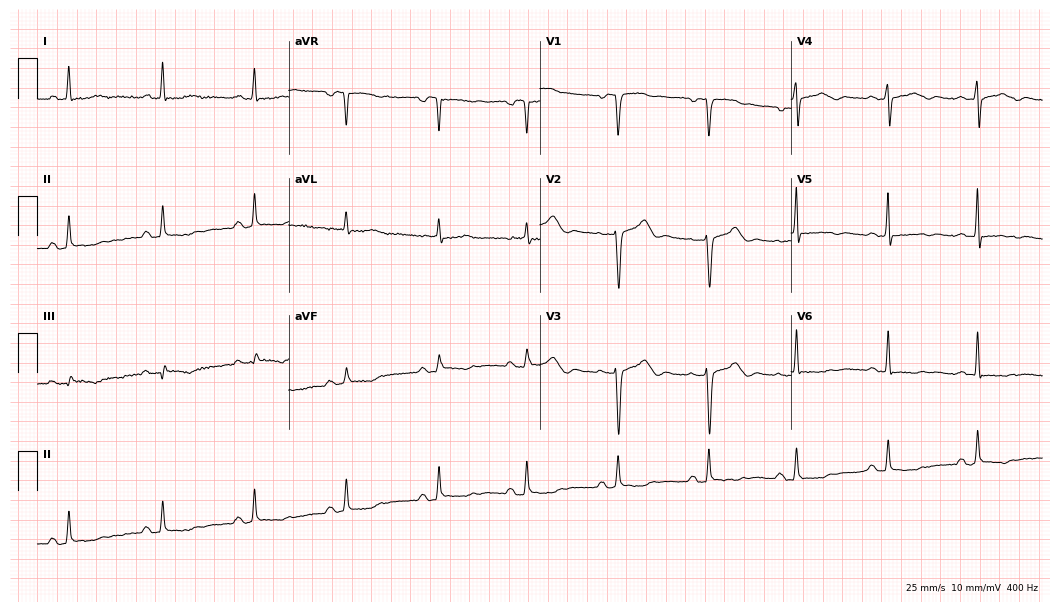
Standard 12-lead ECG recorded from a woman, 48 years old (10.2-second recording at 400 Hz). None of these six findings is recorded: first-degree AV block, right bundle branch block, left bundle branch block, sinus bradycardia, atrial fibrillation, sinus tachycardia. Findings outside these six are not listed.